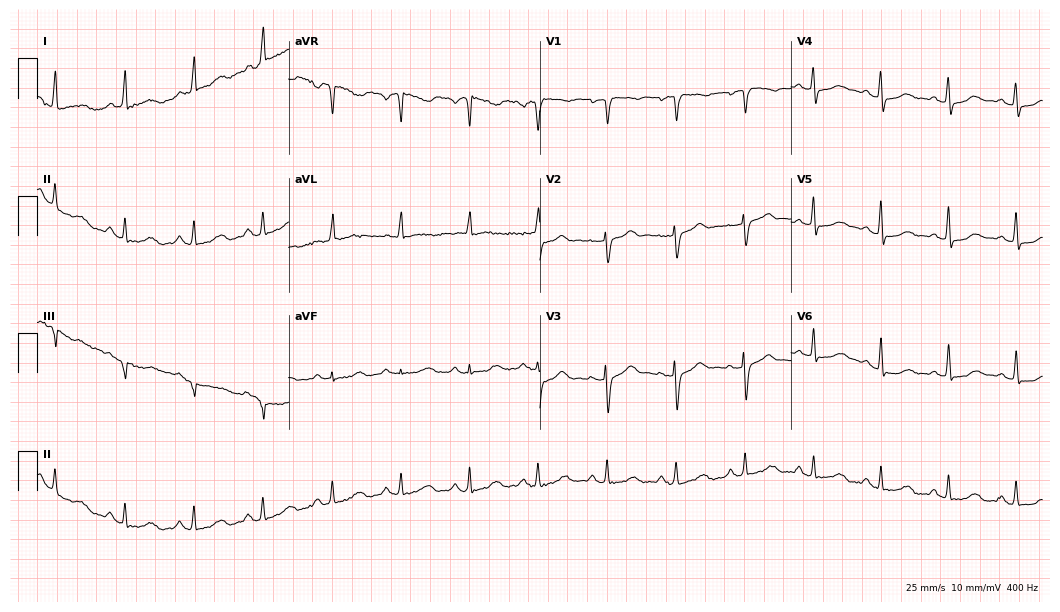
ECG (10.2-second recording at 400 Hz) — a 54-year-old female. Labelled as a normal ECG.